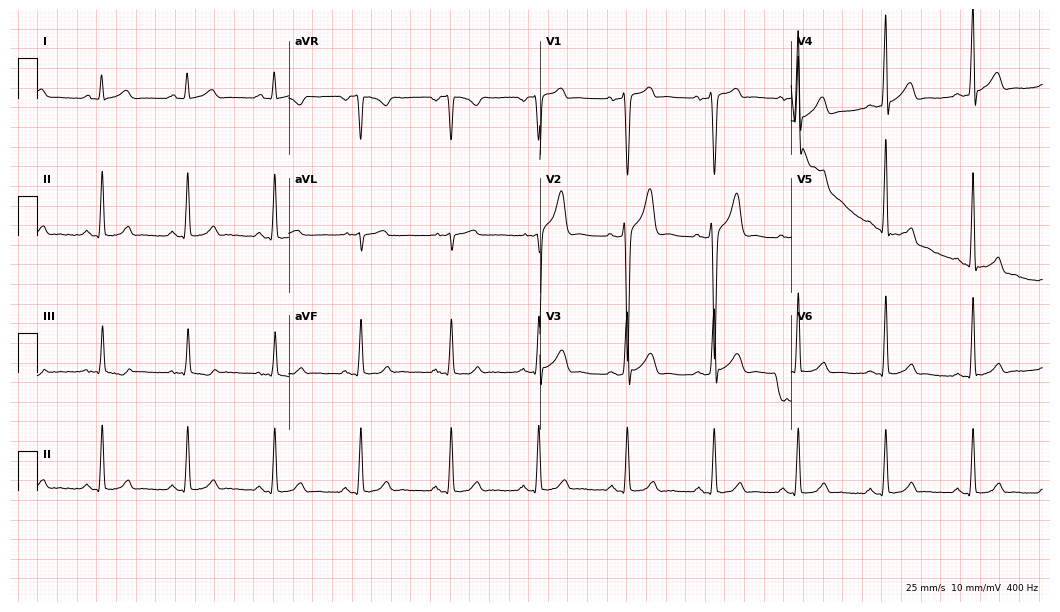
Resting 12-lead electrocardiogram. Patient: a 34-year-old male. Read as a normal ECG.